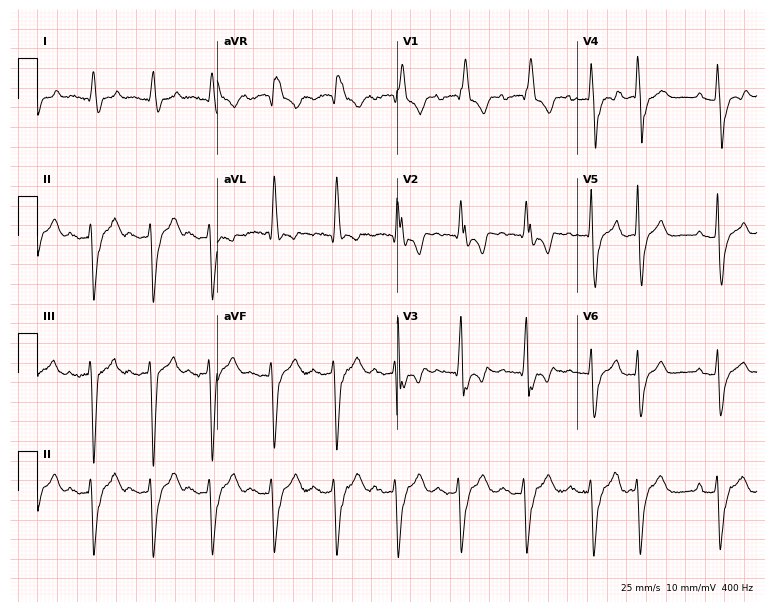
Electrocardiogram, an 82-year-old female patient. Interpretation includes right bundle branch block (RBBB).